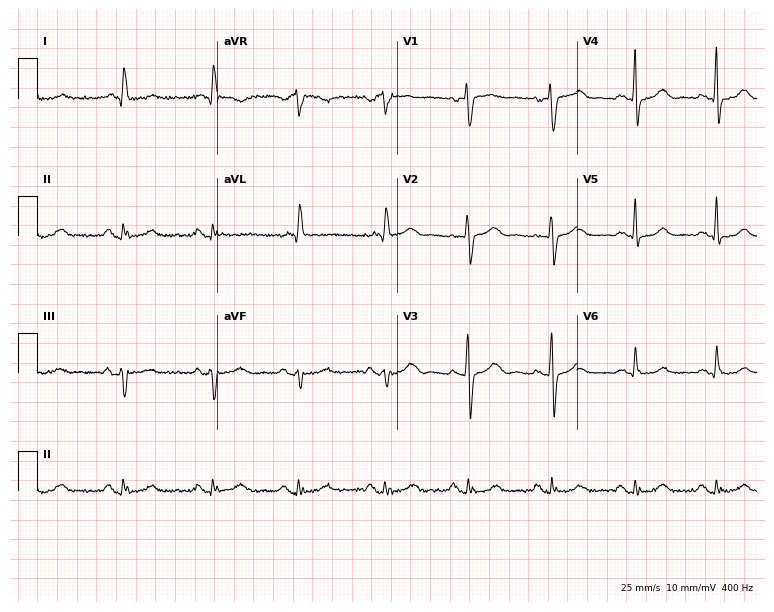
Standard 12-lead ECG recorded from an 81-year-old female patient (7.3-second recording at 400 Hz). Read as a normal ECG.